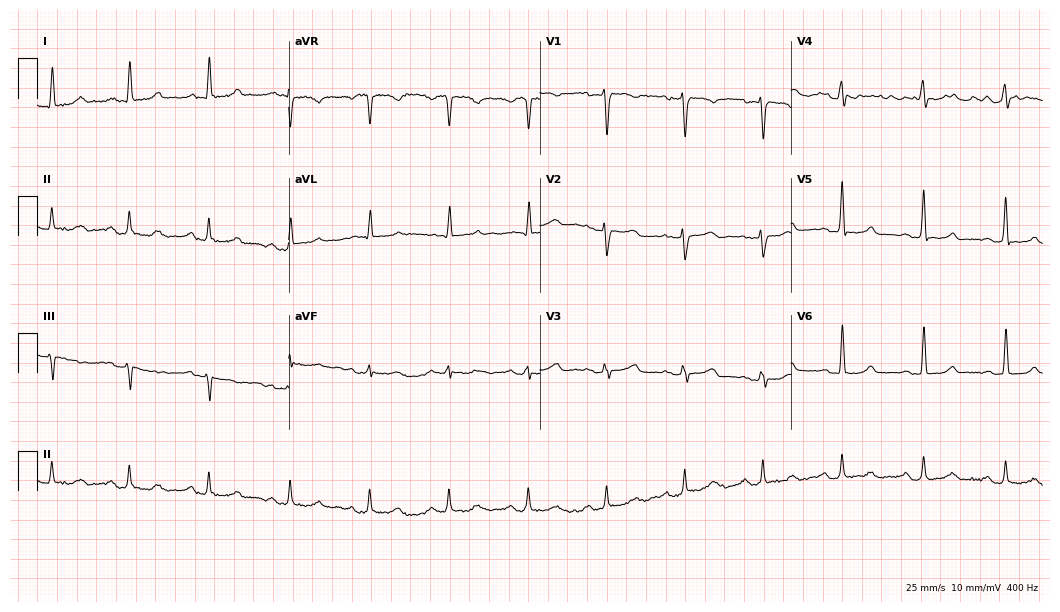
Standard 12-lead ECG recorded from a woman, 61 years old. None of these six findings is recorded: first-degree AV block, right bundle branch block (RBBB), left bundle branch block (LBBB), sinus bradycardia, atrial fibrillation (AF), sinus tachycardia. Other findings, if any, are not listed.